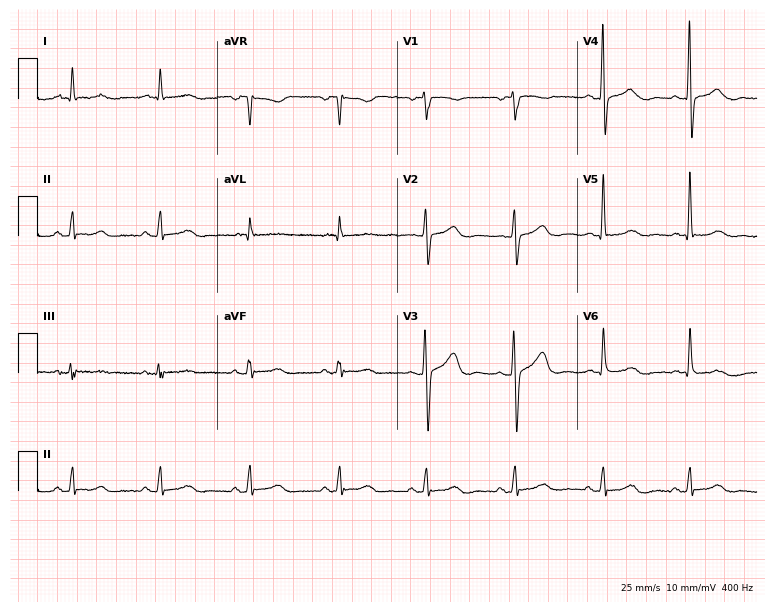
Standard 12-lead ECG recorded from a 54-year-old female patient. None of these six findings is recorded: first-degree AV block, right bundle branch block, left bundle branch block, sinus bradycardia, atrial fibrillation, sinus tachycardia. Other findings, if any, are not listed.